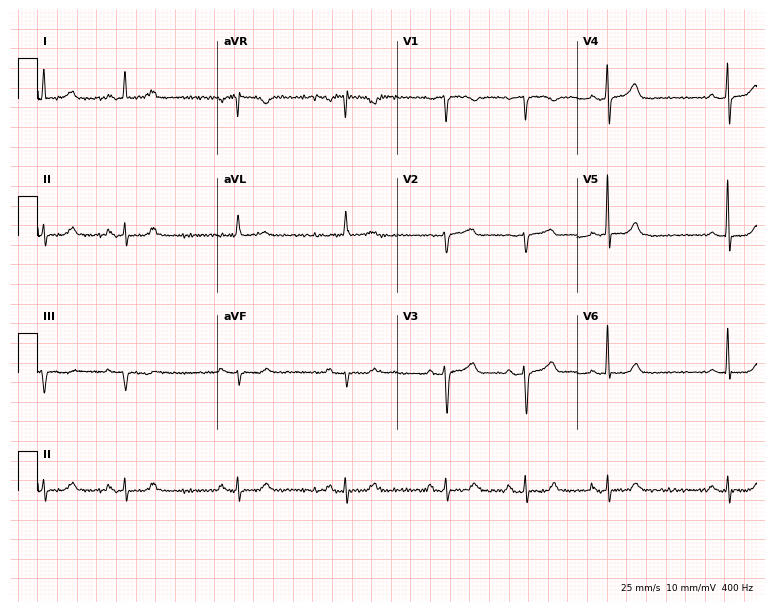
12-lead ECG from a female patient, 78 years old. Labelled as a normal ECG.